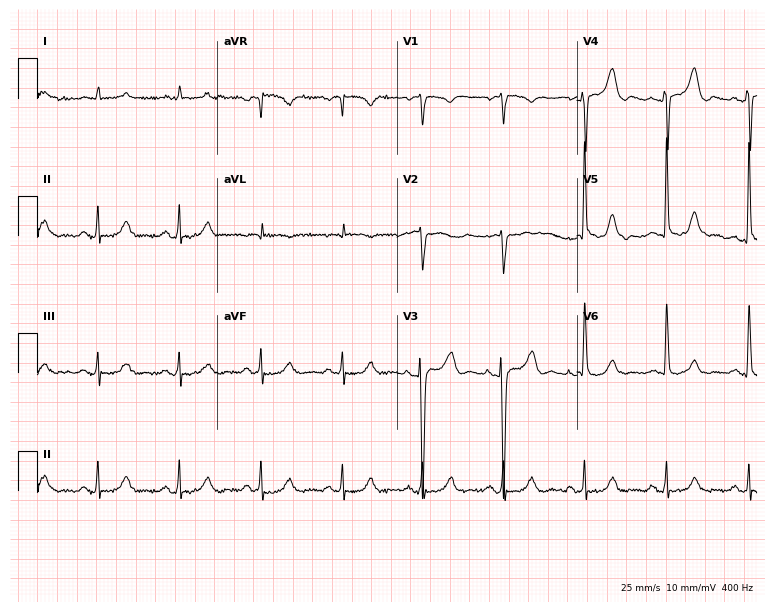
Resting 12-lead electrocardiogram. Patient: a male, 68 years old. Read as a normal ECG.